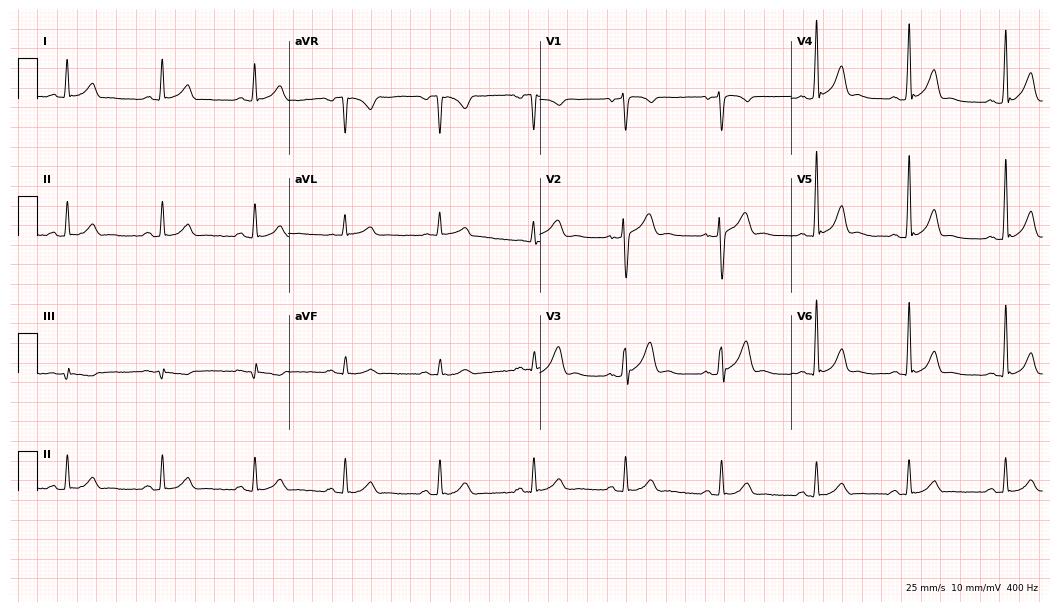
Electrocardiogram, a man, 36 years old. Overall reading on record: normal ECG.